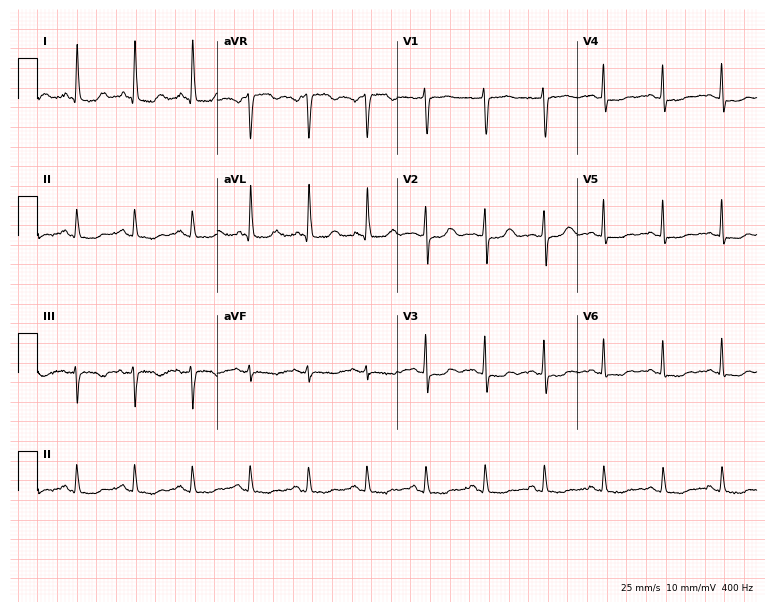
Electrocardiogram (7.3-second recording at 400 Hz), a 42-year-old woman. Of the six screened findings (first-degree AV block, right bundle branch block, left bundle branch block, sinus bradycardia, atrial fibrillation, sinus tachycardia), none is recorded.